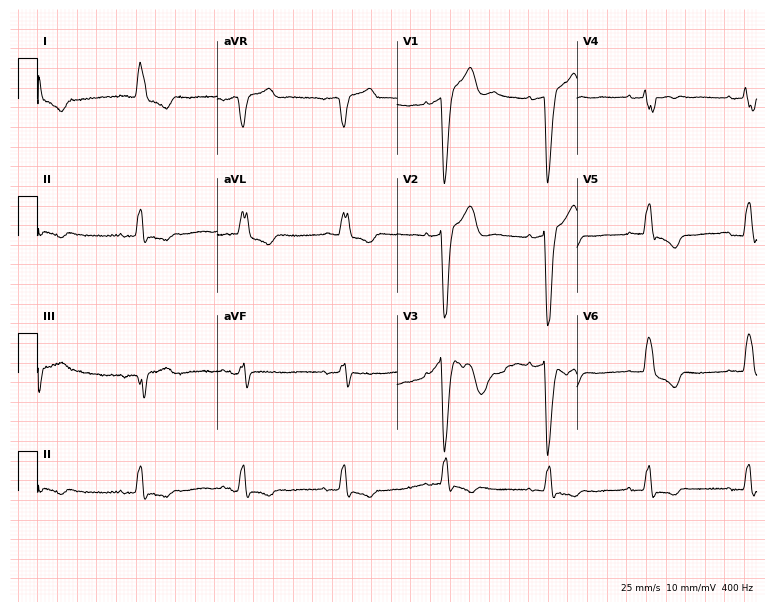
Resting 12-lead electrocardiogram (7.3-second recording at 400 Hz). Patient: an 81-year-old female. The tracing shows left bundle branch block (LBBB).